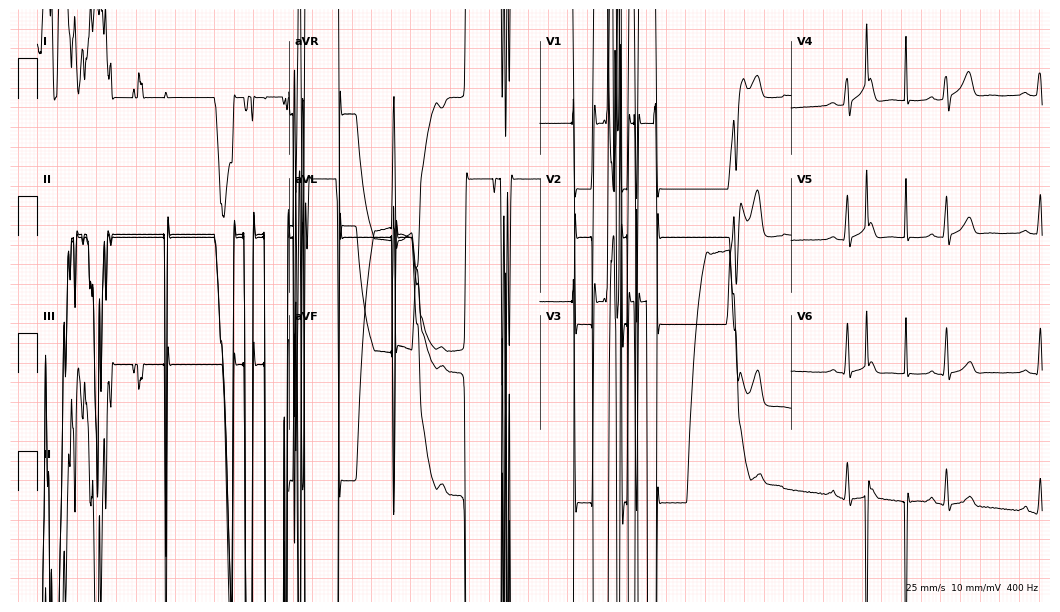
Electrocardiogram, a 23-year-old male patient. Of the six screened findings (first-degree AV block, right bundle branch block, left bundle branch block, sinus bradycardia, atrial fibrillation, sinus tachycardia), none is recorded.